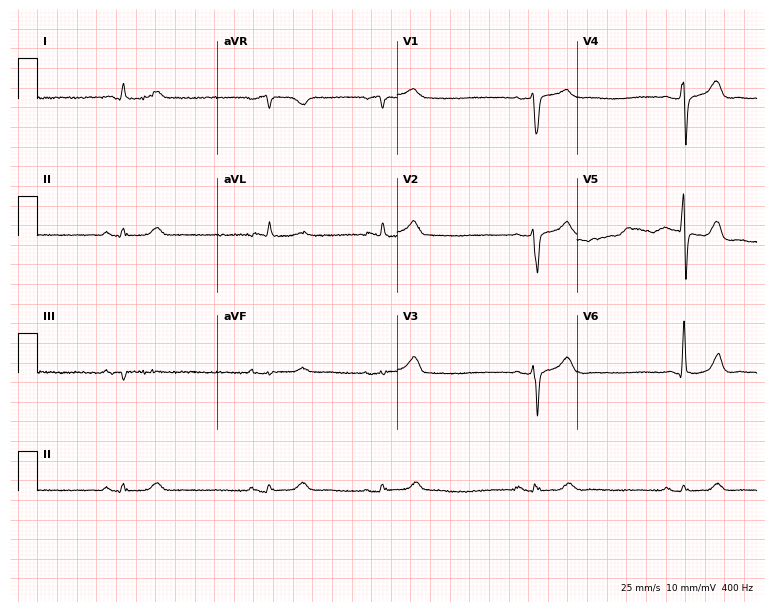
ECG (7.3-second recording at 400 Hz) — a 70-year-old man. Findings include sinus bradycardia (a sinus rate of 50 beats per minute or less).